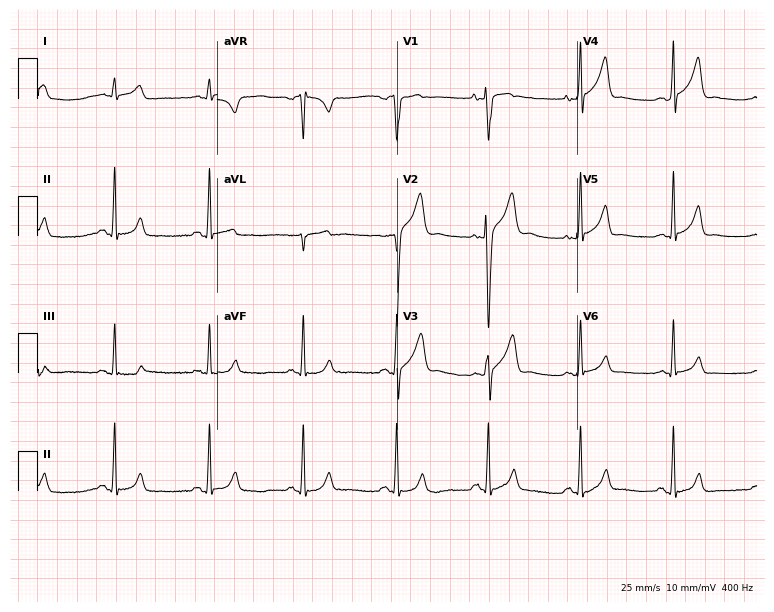
Standard 12-lead ECG recorded from a 32-year-old male patient. None of these six findings is recorded: first-degree AV block, right bundle branch block, left bundle branch block, sinus bradycardia, atrial fibrillation, sinus tachycardia.